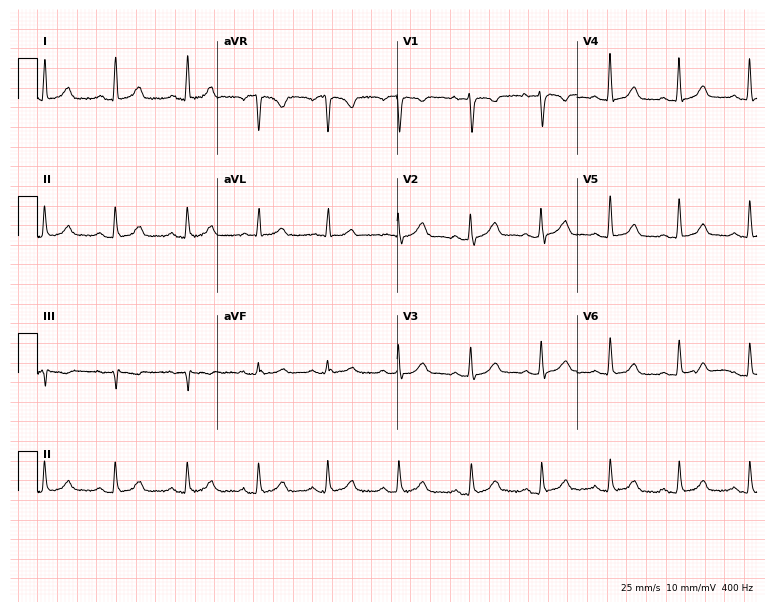
12-lead ECG from a 36-year-old female patient. Labelled as a normal ECG.